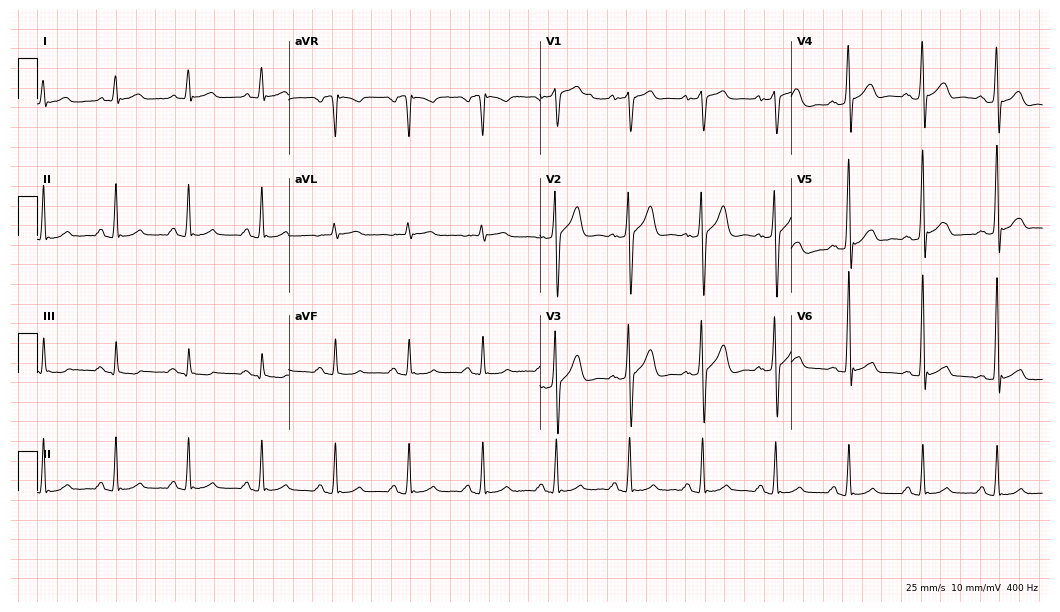
Standard 12-lead ECG recorded from a 59-year-old male patient. Read as a normal ECG.